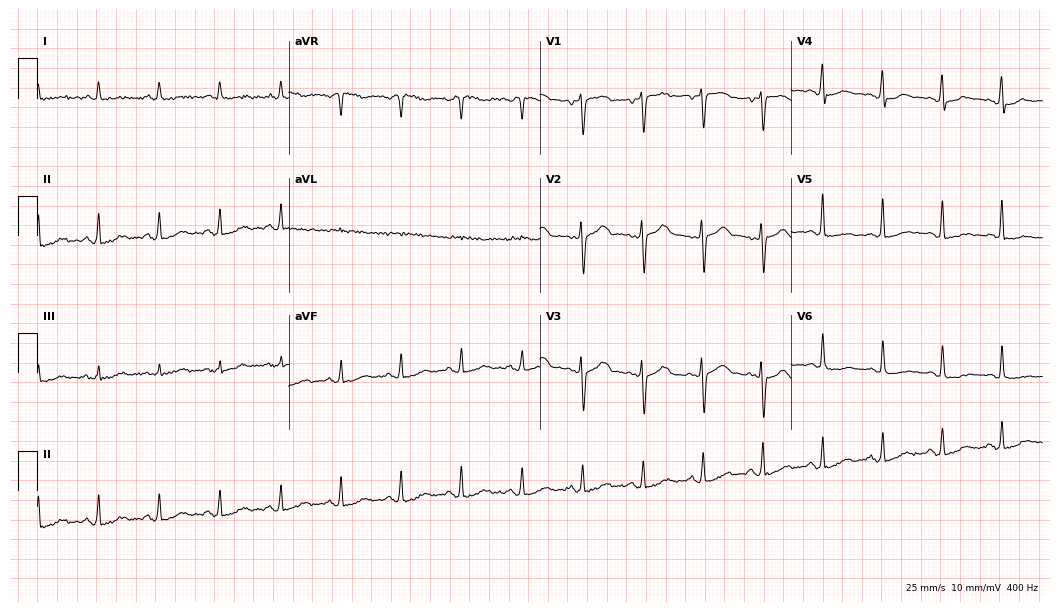
ECG (10.2-second recording at 400 Hz) — a female, 40 years old. Screened for six findings — first-degree AV block, right bundle branch block, left bundle branch block, sinus bradycardia, atrial fibrillation, sinus tachycardia — none is recorded.